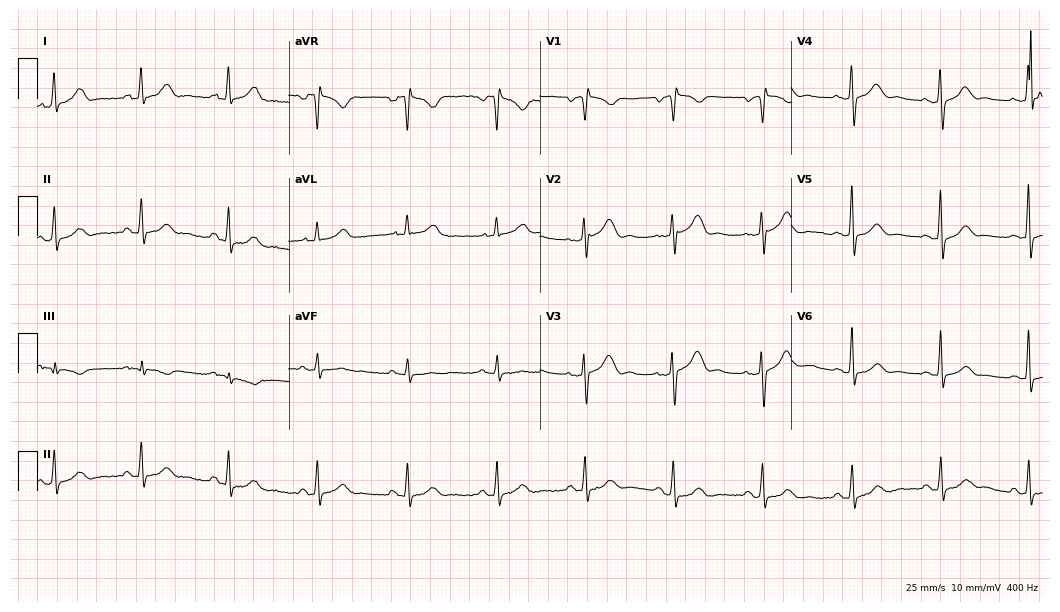
Electrocardiogram (10.2-second recording at 400 Hz), a 66-year-old female patient. Overall reading on record: normal ECG.